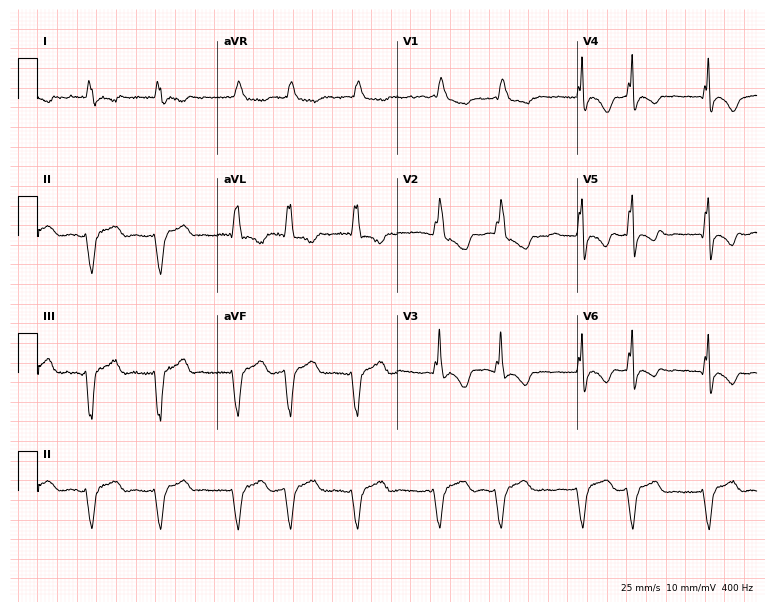
Standard 12-lead ECG recorded from a 45-year-old man. The tracing shows atrial fibrillation (AF).